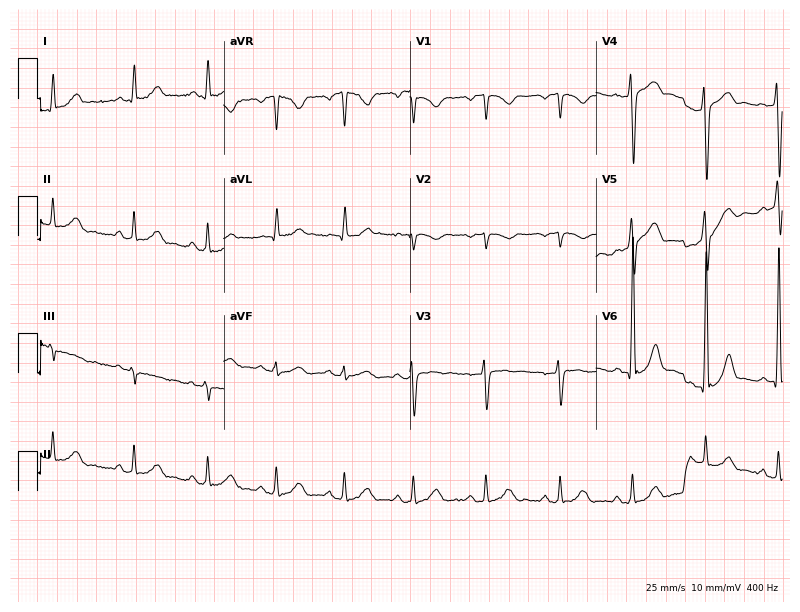
Electrocardiogram (7.6-second recording at 400 Hz), a male, 37 years old. Of the six screened findings (first-degree AV block, right bundle branch block, left bundle branch block, sinus bradycardia, atrial fibrillation, sinus tachycardia), none is recorded.